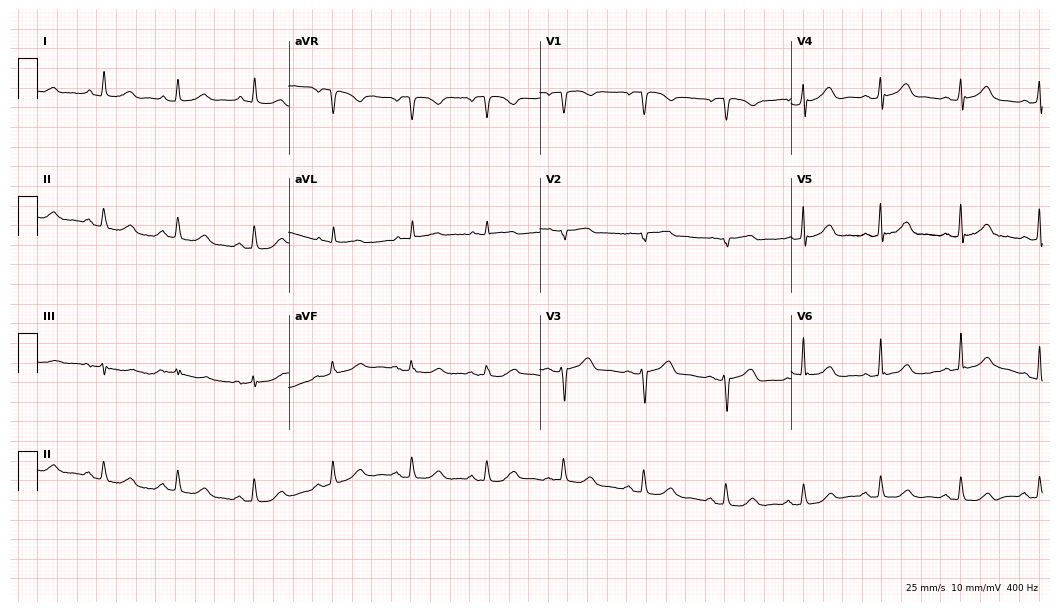
12-lead ECG from a female, 70 years old. Labelled as a normal ECG.